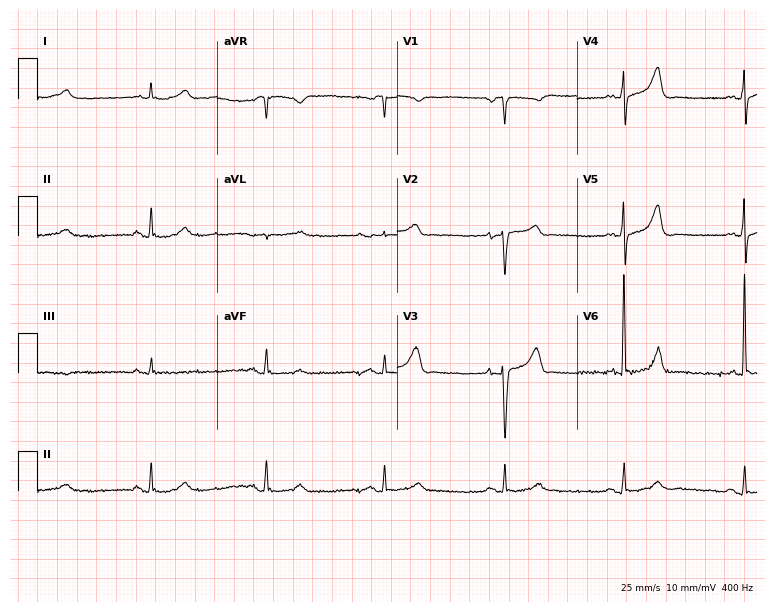
12-lead ECG from a male patient, 85 years old. Findings include sinus bradycardia (a sinus rate of 50 beats per minute or less).